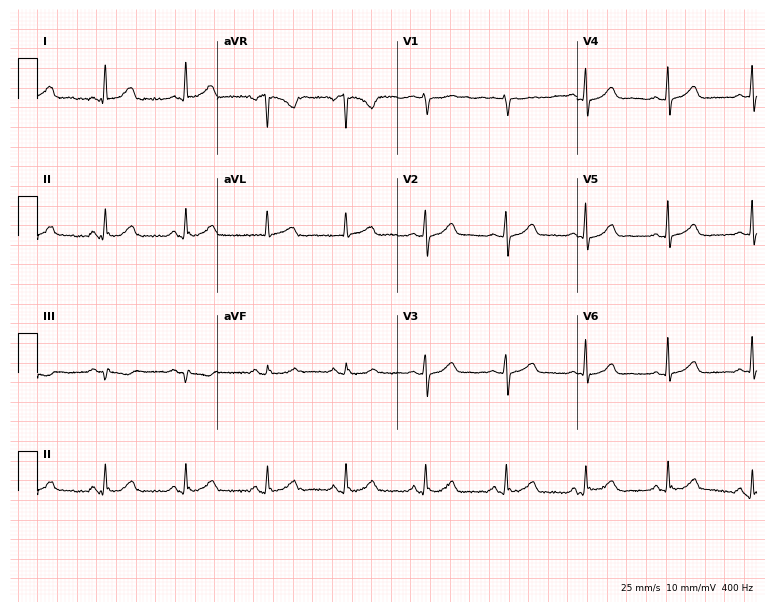
12-lead ECG (7.3-second recording at 400 Hz) from a woman, 50 years old. Labelled as a normal ECG.